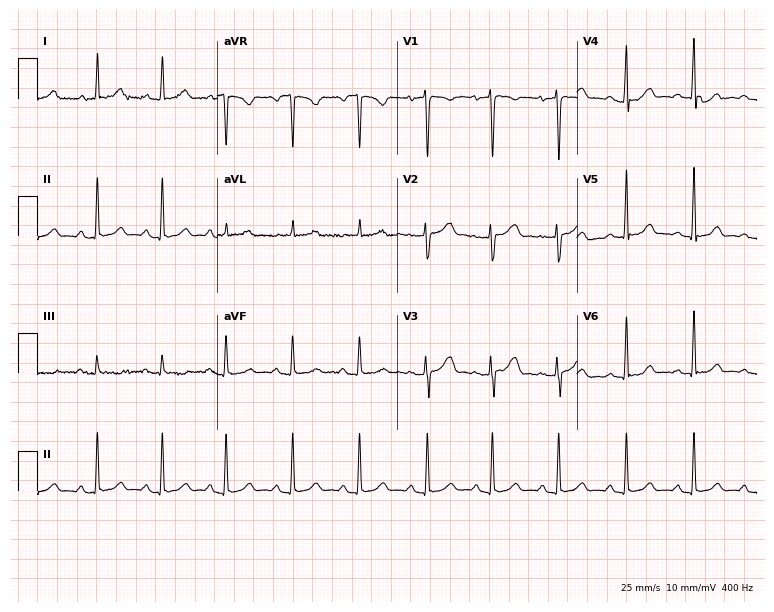
Electrocardiogram, a 26-year-old female. Overall reading on record: normal ECG.